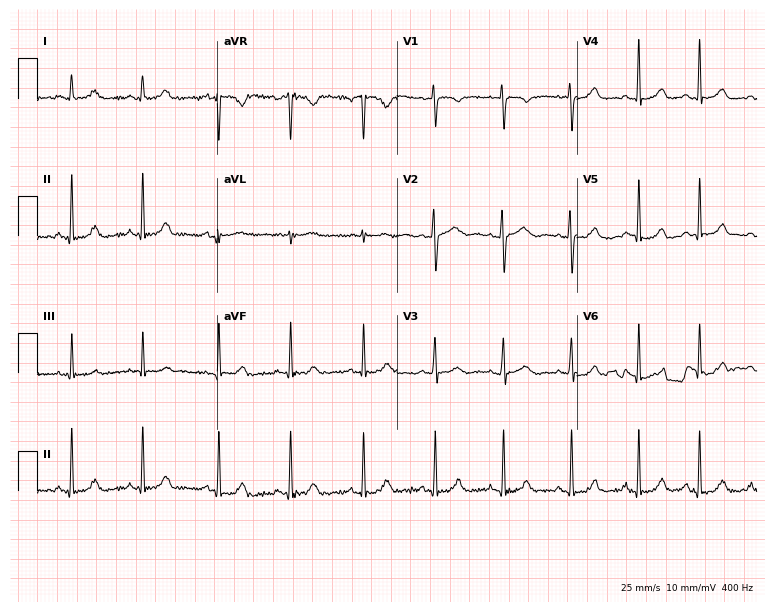
ECG (7.3-second recording at 400 Hz) — a woman, 24 years old. Screened for six findings — first-degree AV block, right bundle branch block (RBBB), left bundle branch block (LBBB), sinus bradycardia, atrial fibrillation (AF), sinus tachycardia — none is recorded.